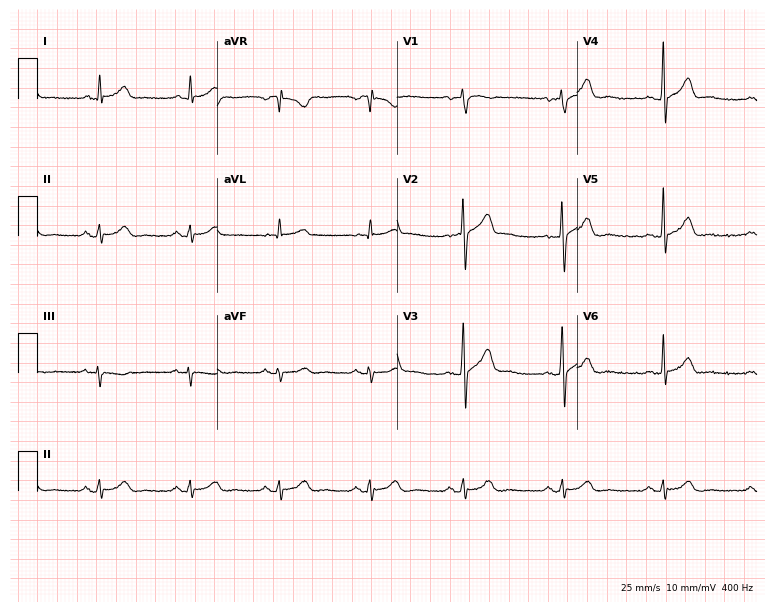
Electrocardiogram, a man, 55 years old. Overall reading on record: normal ECG.